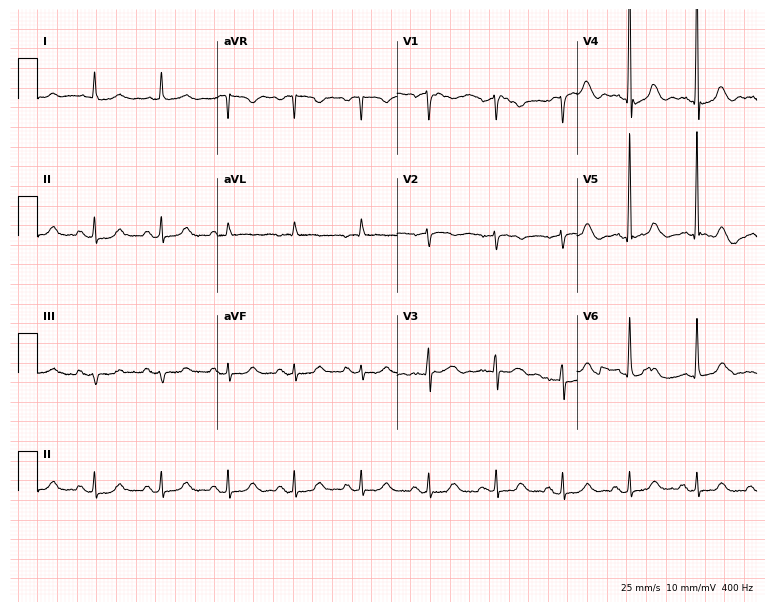
12-lead ECG from a female, 76 years old. No first-degree AV block, right bundle branch block, left bundle branch block, sinus bradycardia, atrial fibrillation or sinus tachycardia recorded for this tracing.